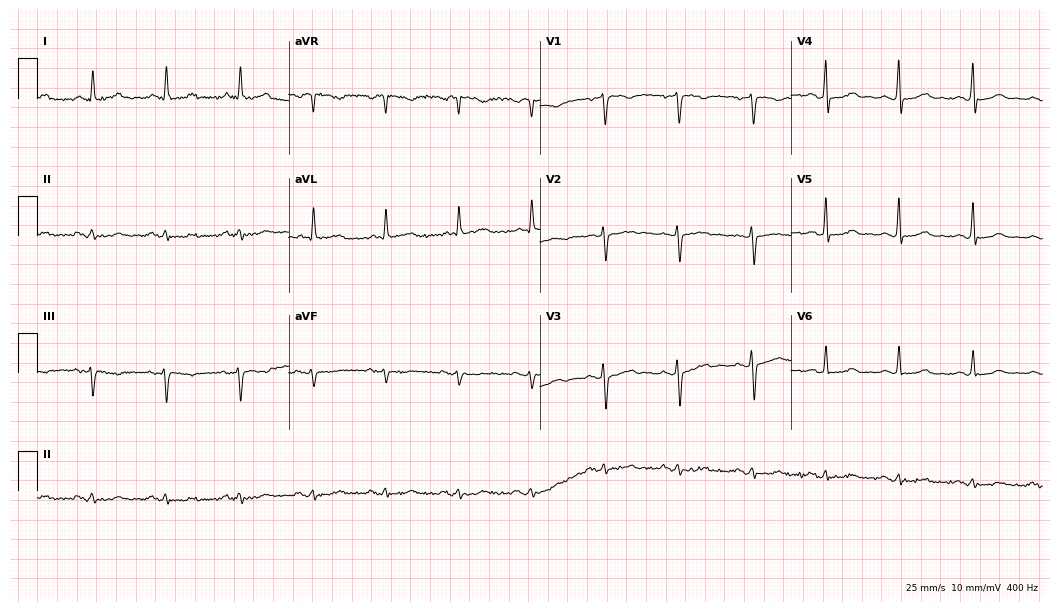
ECG — a female, 67 years old. Labelled as a normal ECG.